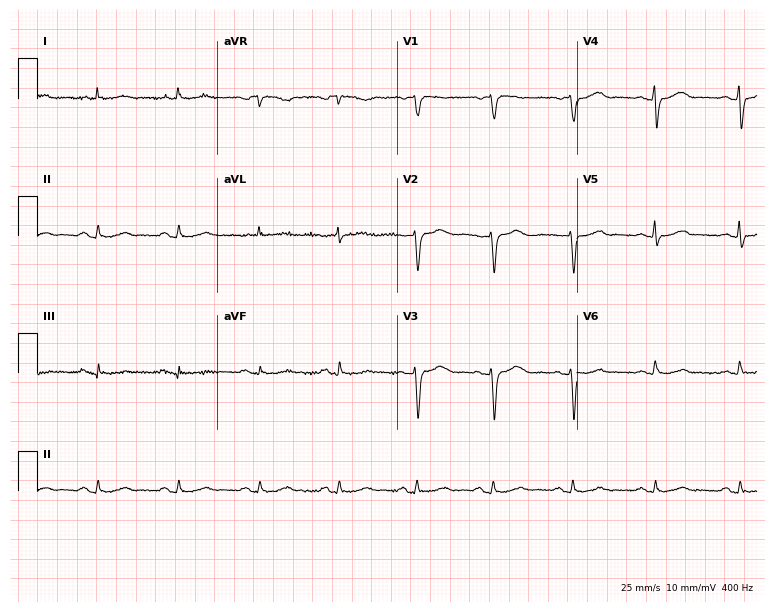
12-lead ECG from a female, 56 years old (7.3-second recording at 400 Hz). Recorded interpretation: within normal limits.